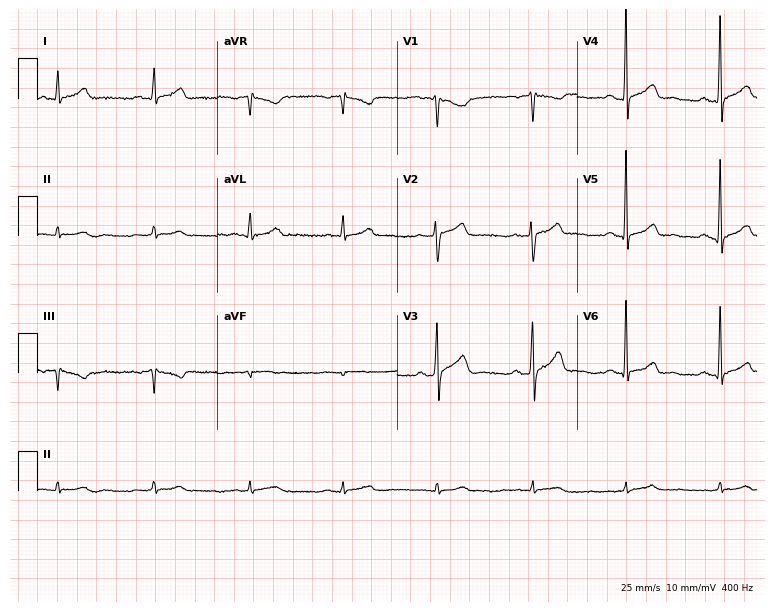
Electrocardiogram, a 51-year-old man. Overall reading on record: normal ECG.